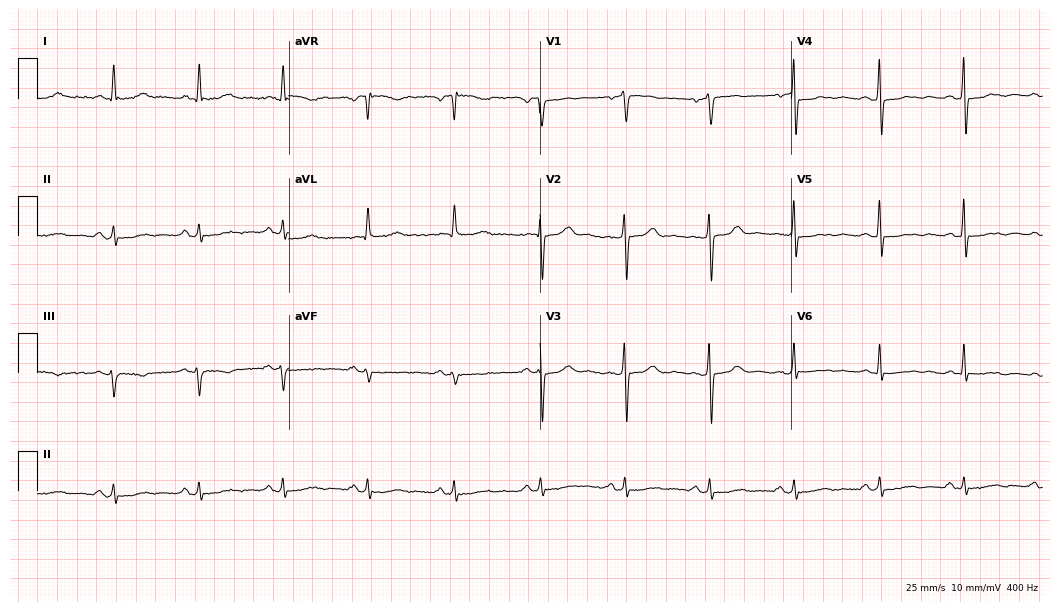
12-lead ECG from a 59-year-old female (10.2-second recording at 400 Hz). No first-degree AV block, right bundle branch block, left bundle branch block, sinus bradycardia, atrial fibrillation or sinus tachycardia recorded for this tracing. Only these six findings were labelled.